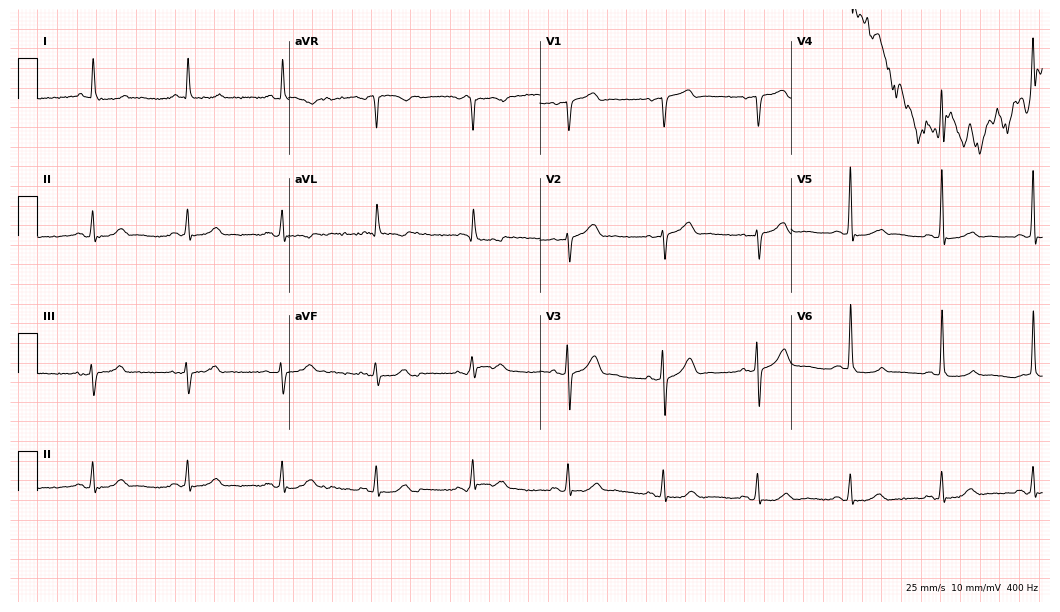
12-lead ECG from a 74-year-old female. No first-degree AV block, right bundle branch block (RBBB), left bundle branch block (LBBB), sinus bradycardia, atrial fibrillation (AF) or sinus tachycardia recorded for this tracing. Only these six findings were labelled.